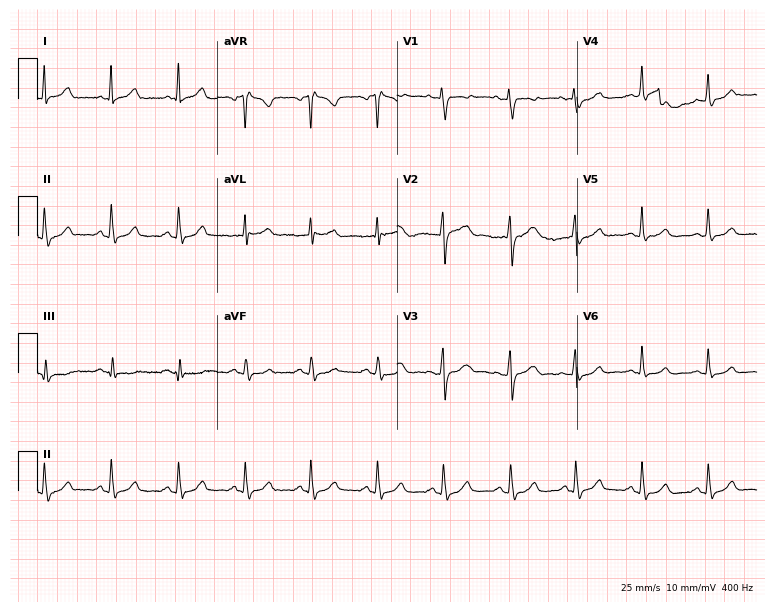
12-lead ECG from a 32-year-old female. Labelled as a normal ECG.